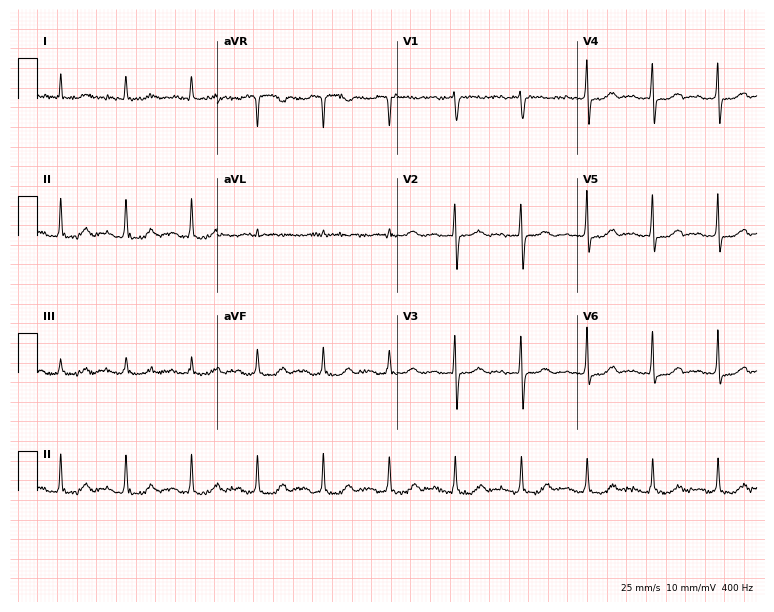
12-lead ECG from an 86-year-old woman. Recorded interpretation: within normal limits.